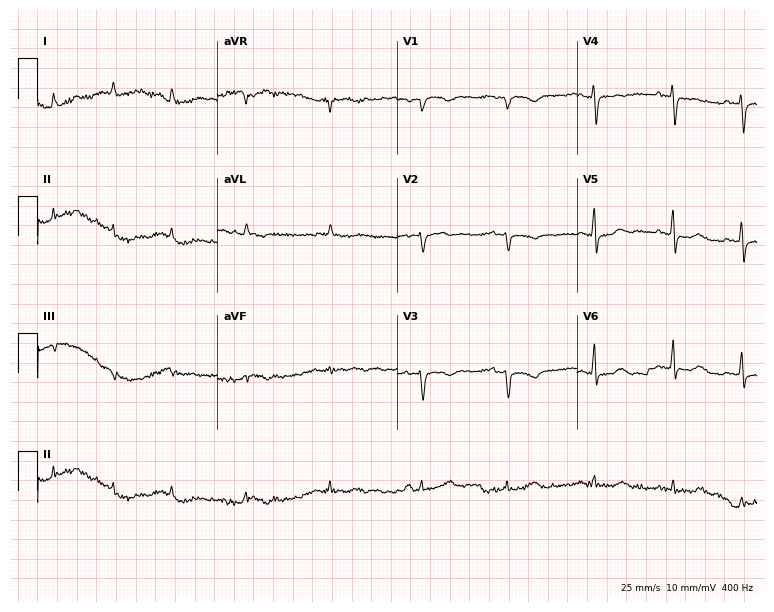
12-lead ECG (7.3-second recording at 400 Hz) from a 72-year-old woman. Screened for six findings — first-degree AV block, right bundle branch block, left bundle branch block, sinus bradycardia, atrial fibrillation, sinus tachycardia — none is recorded.